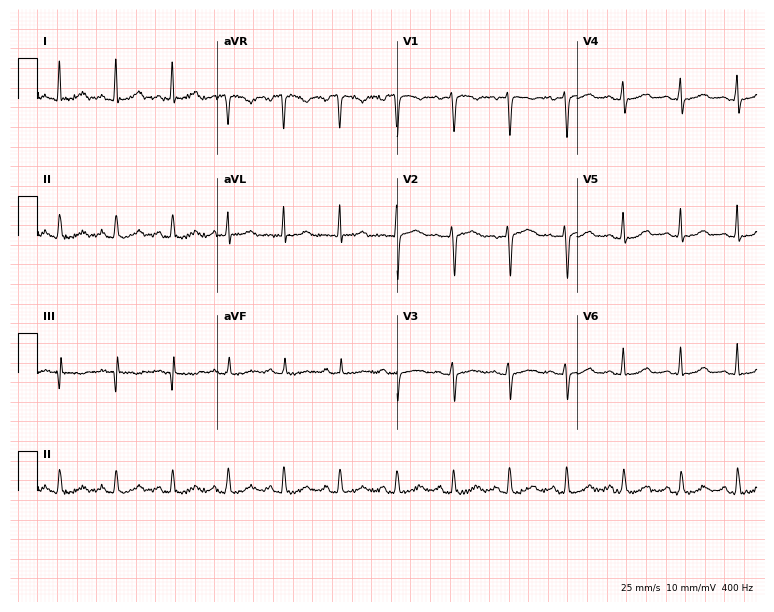
Standard 12-lead ECG recorded from a woman, 43 years old (7.3-second recording at 400 Hz). The tracing shows sinus tachycardia (a sinus rate of 100 beats per minute or more).